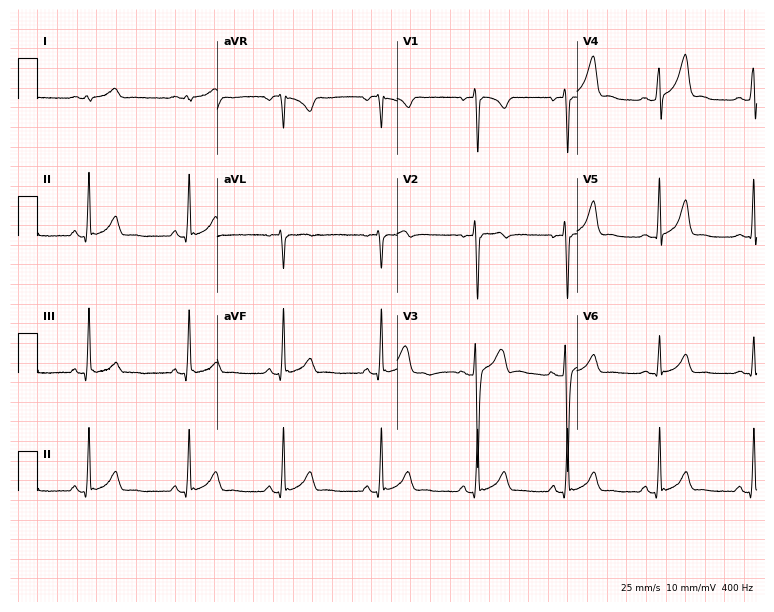
Electrocardiogram (7.3-second recording at 400 Hz), a 20-year-old man. Overall reading on record: normal ECG.